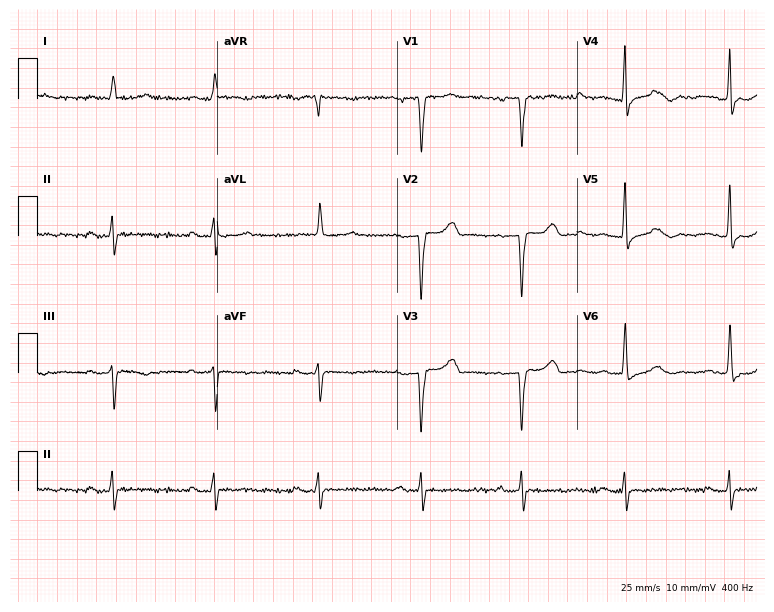
Resting 12-lead electrocardiogram (7.3-second recording at 400 Hz). Patient: an 81-year-old female. None of these six findings is recorded: first-degree AV block, right bundle branch block, left bundle branch block, sinus bradycardia, atrial fibrillation, sinus tachycardia. Other findings, if any, are not listed.